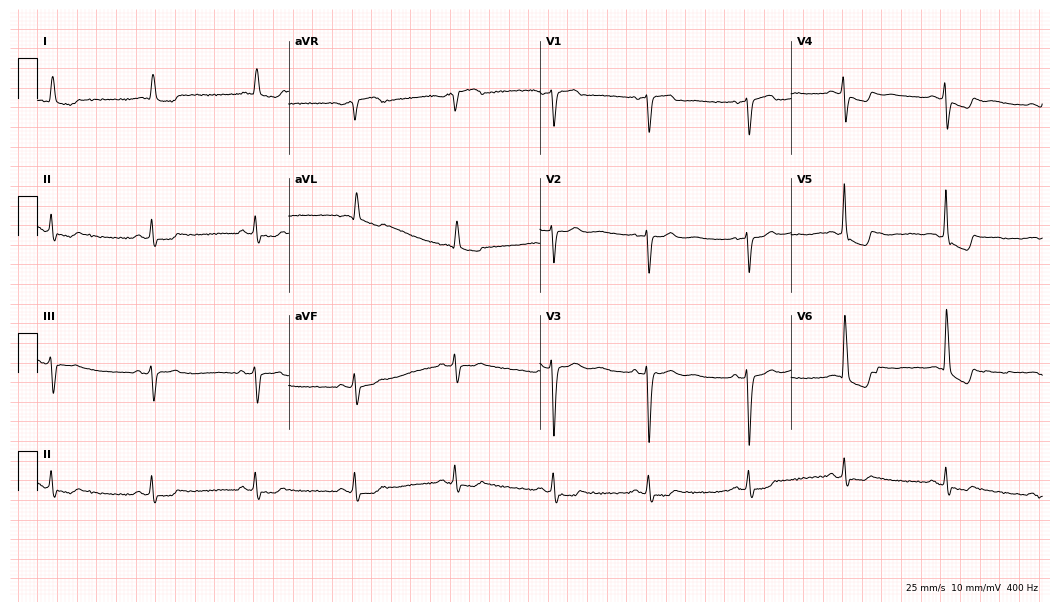
Resting 12-lead electrocardiogram (10.2-second recording at 400 Hz). Patient: a woman, 56 years old. None of these six findings is recorded: first-degree AV block, right bundle branch block, left bundle branch block, sinus bradycardia, atrial fibrillation, sinus tachycardia.